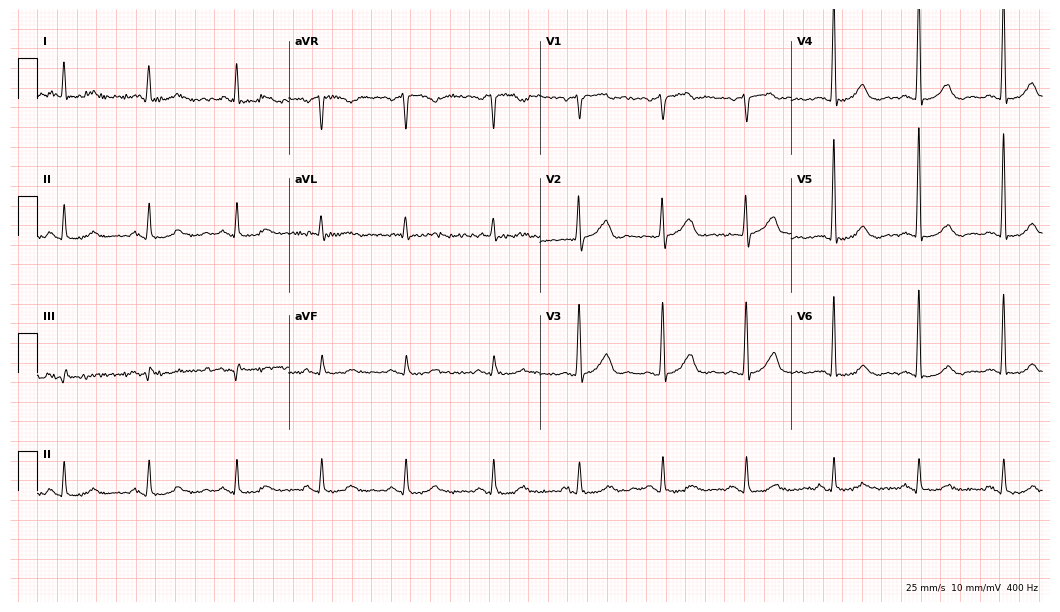
12-lead ECG (10.2-second recording at 400 Hz) from a 78-year-old man. Screened for six findings — first-degree AV block, right bundle branch block, left bundle branch block, sinus bradycardia, atrial fibrillation, sinus tachycardia — none is recorded.